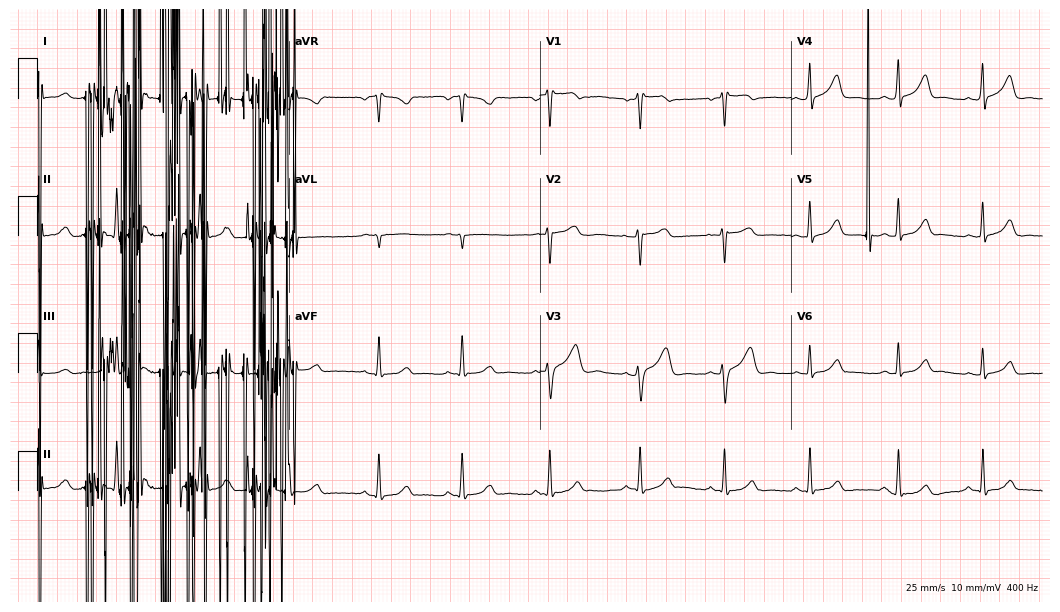
Resting 12-lead electrocardiogram. Patient: a 28-year-old female. None of these six findings is recorded: first-degree AV block, right bundle branch block, left bundle branch block, sinus bradycardia, atrial fibrillation, sinus tachycardia. Other findings, if any, are not listed.